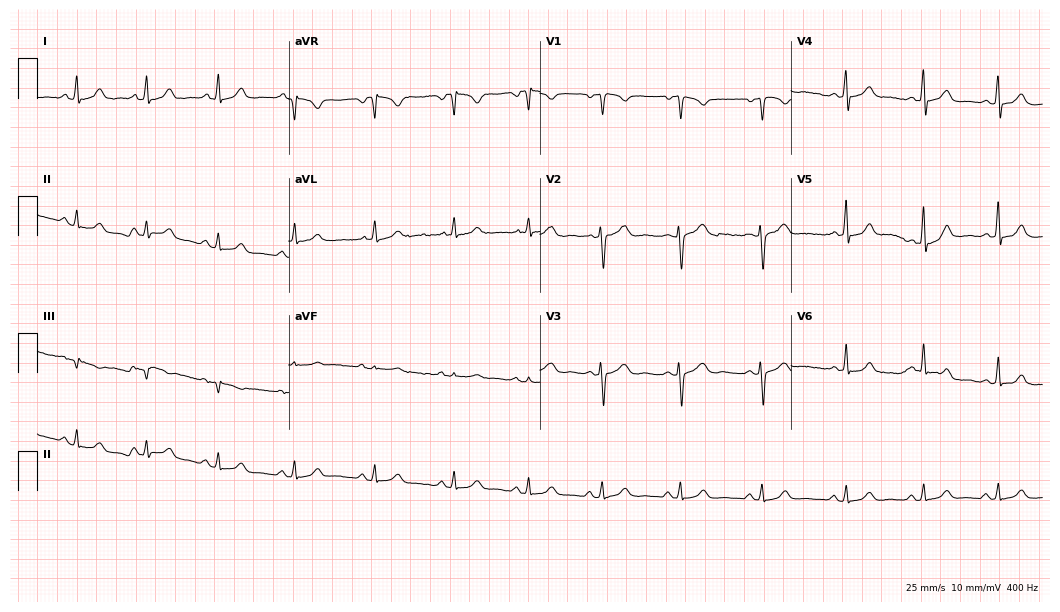
12-lead ECG (10.2-second recording at 400 Hz) from a 33-year-old woman. Screened for six findings — first-degree AV block, right bundle branch block, left bundle branch block, sinus bradycardia, atrial fibrillation, sinus tachycardia — none is recorded.